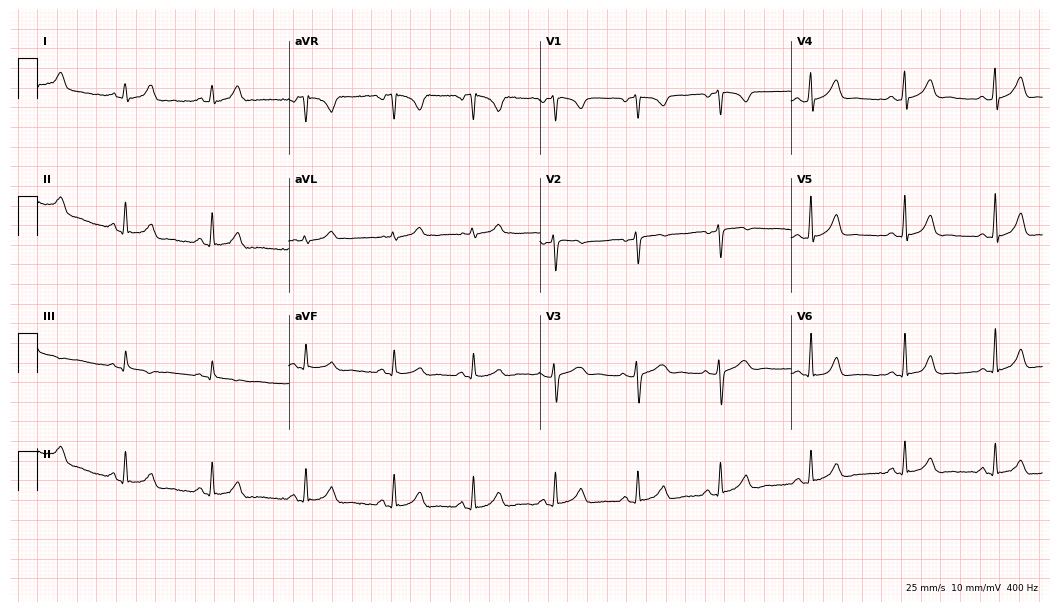
12-lead ECG from a female patient, 23 years old. Labelled as a normal ECG.